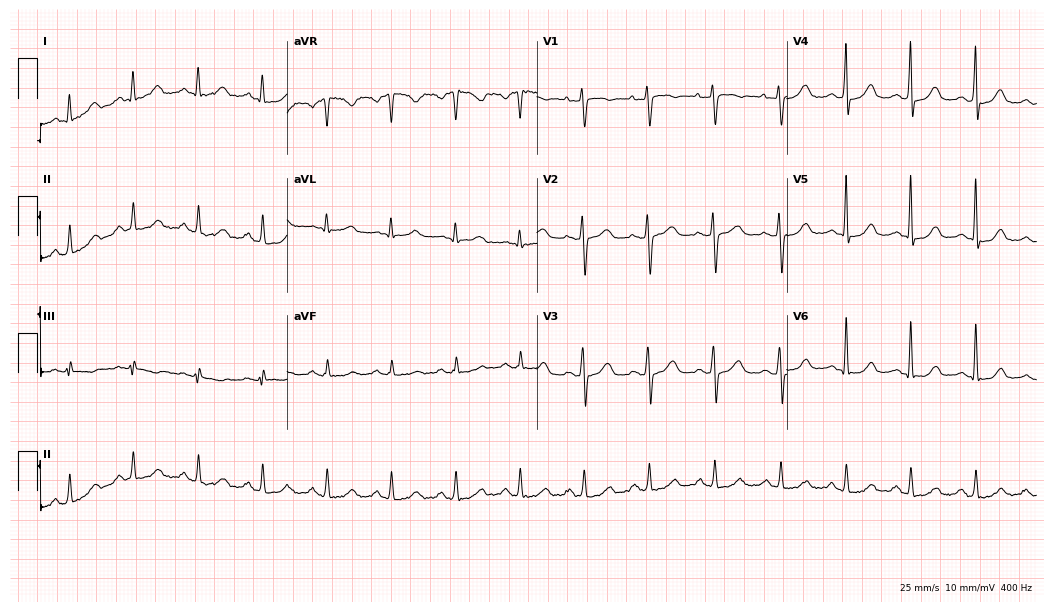
Standard 12-lead ECG recorded from a 38-year-old female patient. Read as a normal ECG.